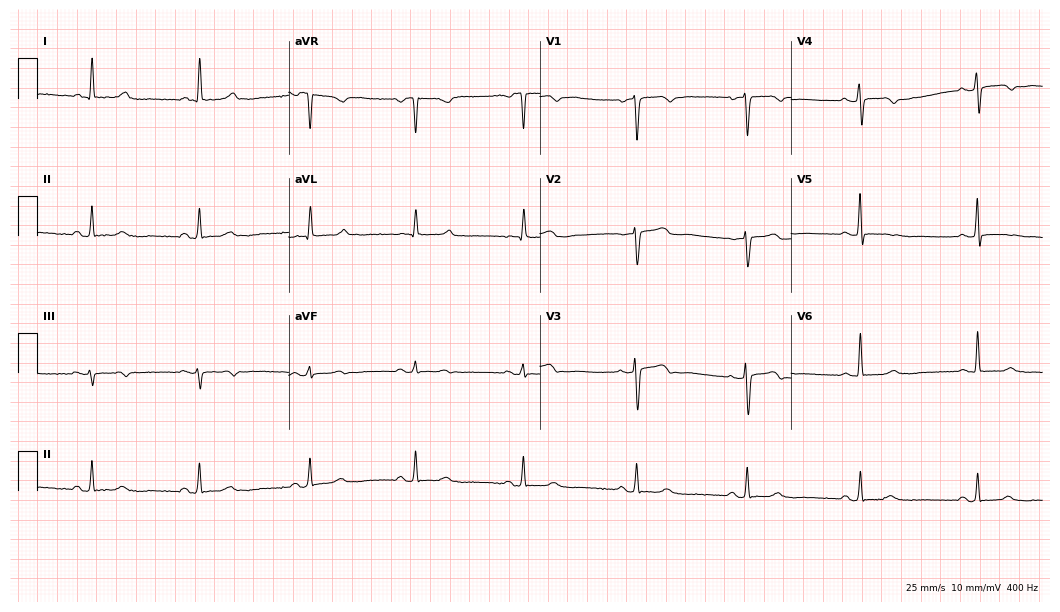
Resting 12-lead electrocardiogram. Patient: a female, 66 years old. Read as a normal ECG.